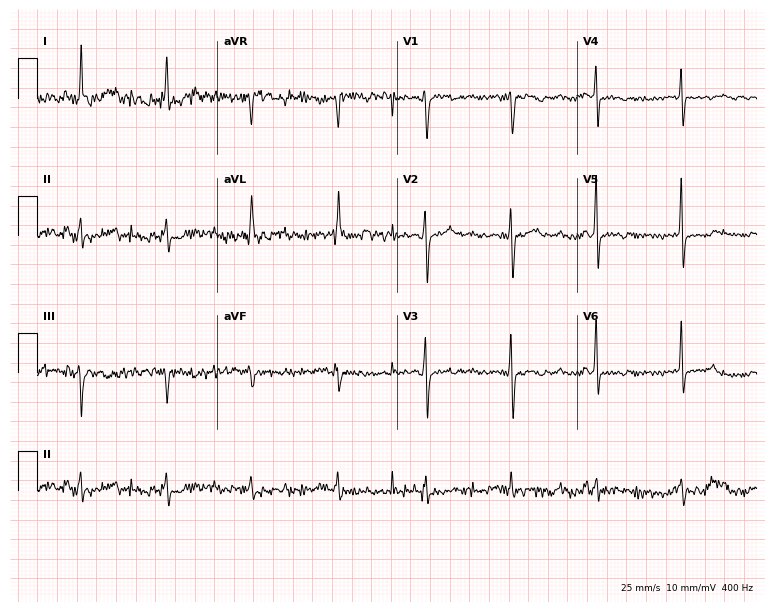
Electrocardiogram, a 51-year-old woman. Of the six screened findings (first-degree AV block, right bundle branch block, left bundle branch block, sinus bradycardia, atrial fibrillation, sinus tachycardia), none is recorded.